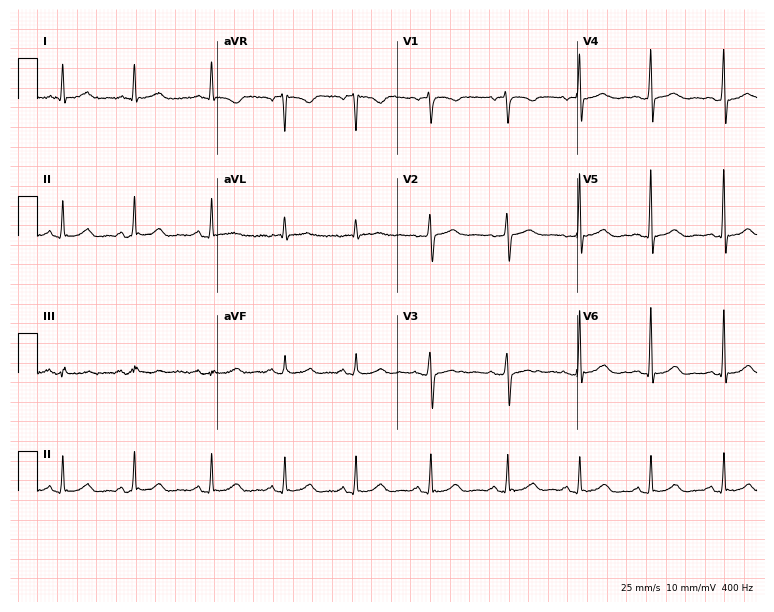
Electrocardiogram (7.3-second recording at 400 Hz), a female, 75 years old. Overall reading on record: normal ECG.